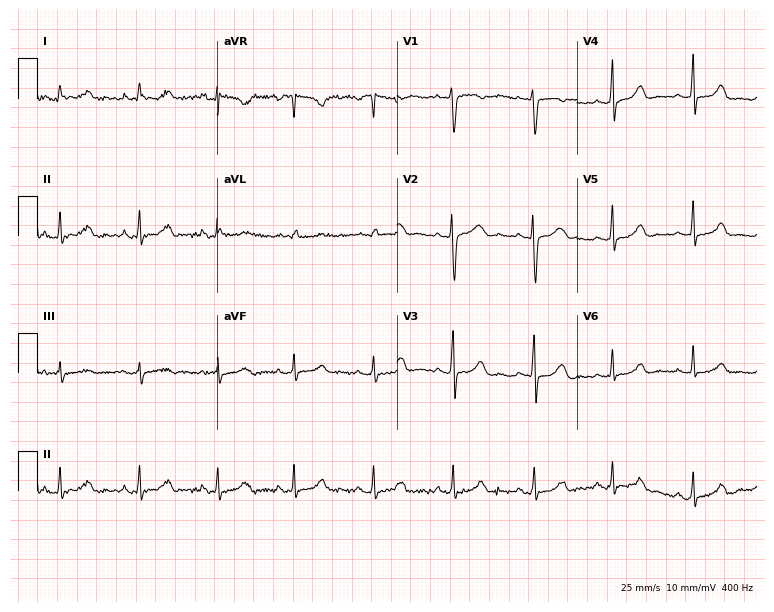
12-lead ECG from a female, 28 years old. Labelled as a normal ECG.